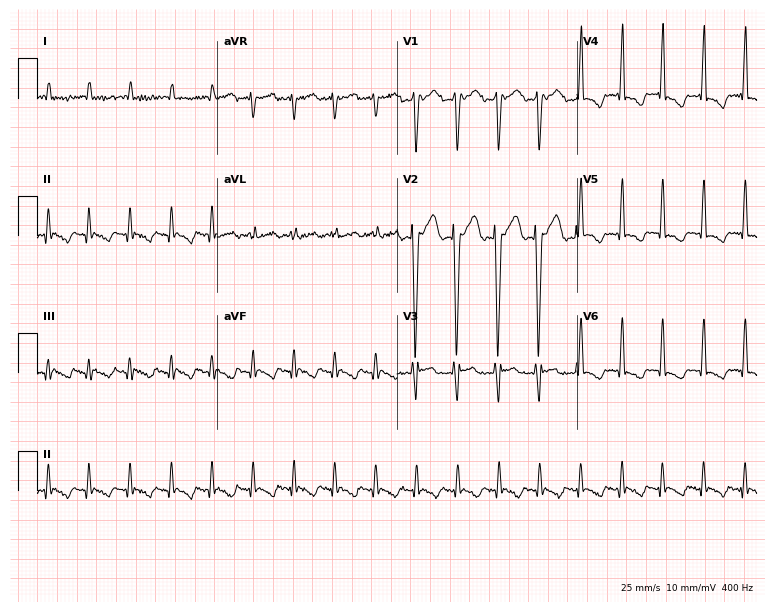
12-lead ECG from a woman, 36 years old (7.3-second recording at 400 Hz). No first-degree AV block, right bundle branch block, left bundle branch block, sinus bradycardia, atrial fibrillation or sinus tachycardia recorded for this tracing. Other findings, if any, are not listed.